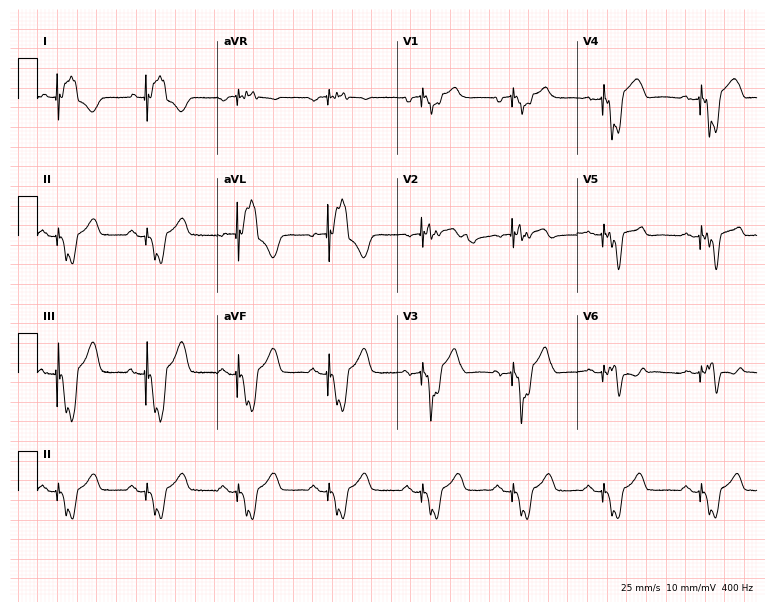
12-lead ECG (7.3-second recording at 400 Hz) from an 84-year-old man. Screened for six findings — first-degree AV block, right bundle branch block, left bundle branch block, sinus bradycardia, atrial fibrillation, sinus tachycardia — none is recorded. Only these six findings were labelled.